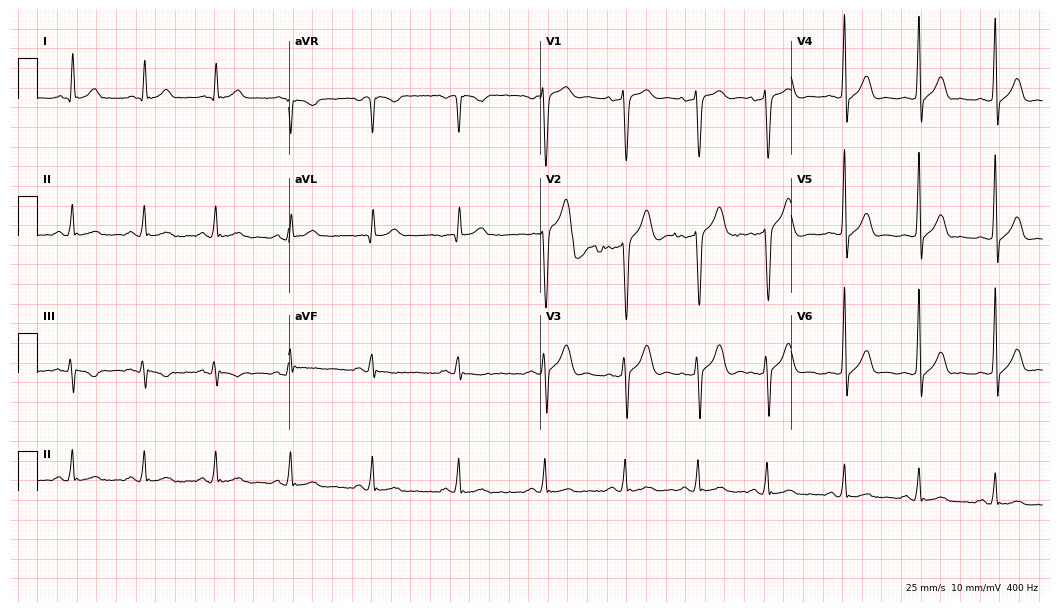
Resting 12-lead electrocardiogram (10.2-second recording at 400 Hz). Patient: a man, 40 years old. None of these six findings is recorded: first-degree AV block, right bundle branch block (RBBB), left bundle branch block (LBBB), sinus bradycardia, atrial fibrillation (AF), sinus tachycardia.